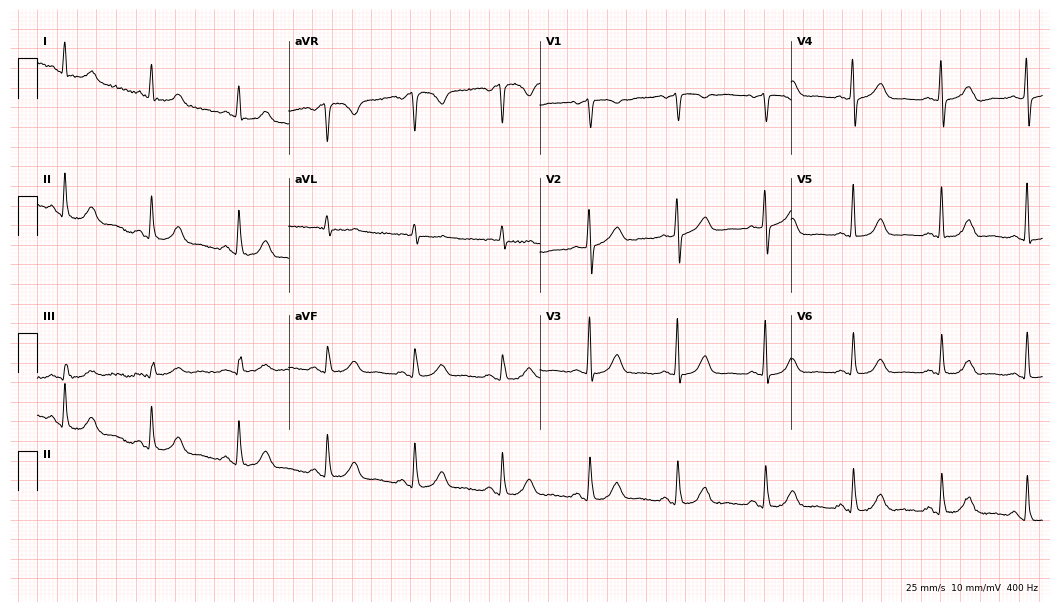
Electrocardiogram, a male patient, 78 years old. Overall reading on record: normal ECG.